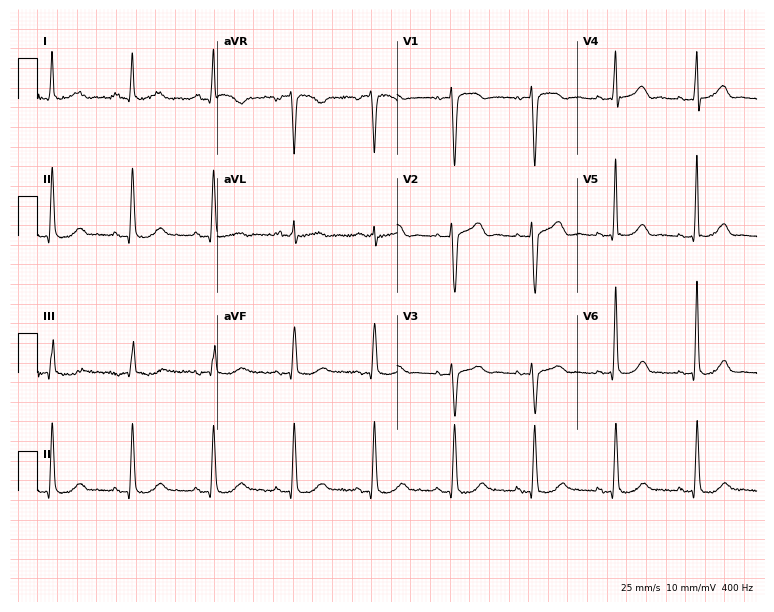
Electrocardiogram (7.3-second recording at 400 Hz), a woman, 67 years old. Overall reading on record: normal ECG.